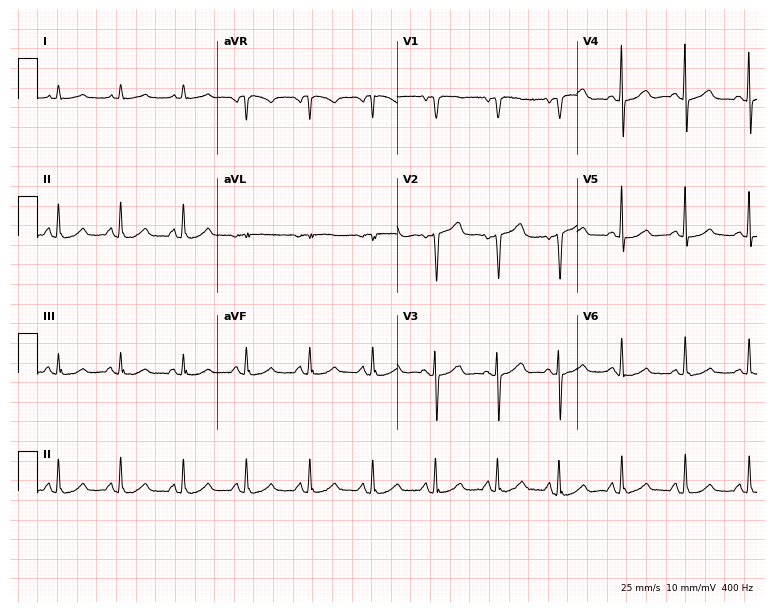
12-lead ECG from a female patient, 76 years old. Recorded interpretation: within normal limits.